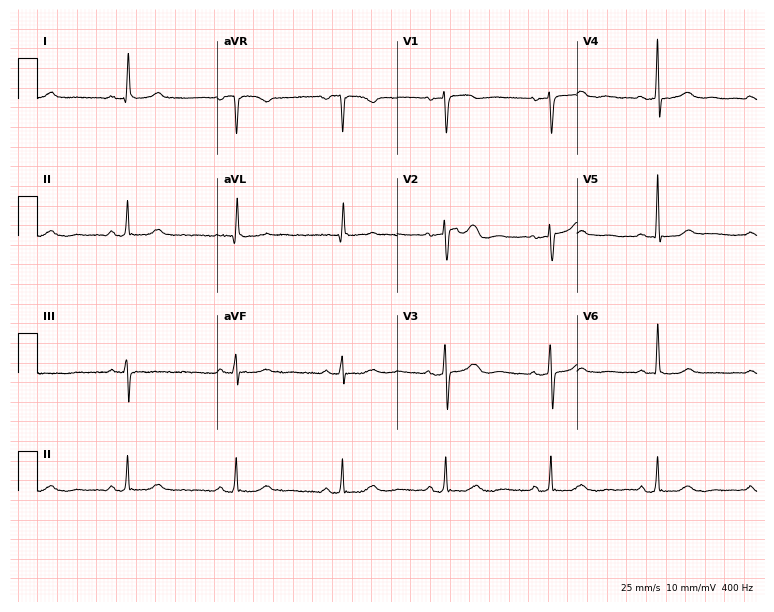
Electrocardiogram (7.3-second recording at 400 Hz), a woman, 58 years old. Of the six screened findings (first-degree AV block, right bundle branch block, left bundle branch block, sinus bradycardia, atrial fibrillation, sinus tachycardia), none is recorded. Other findings, if any, are not listed.